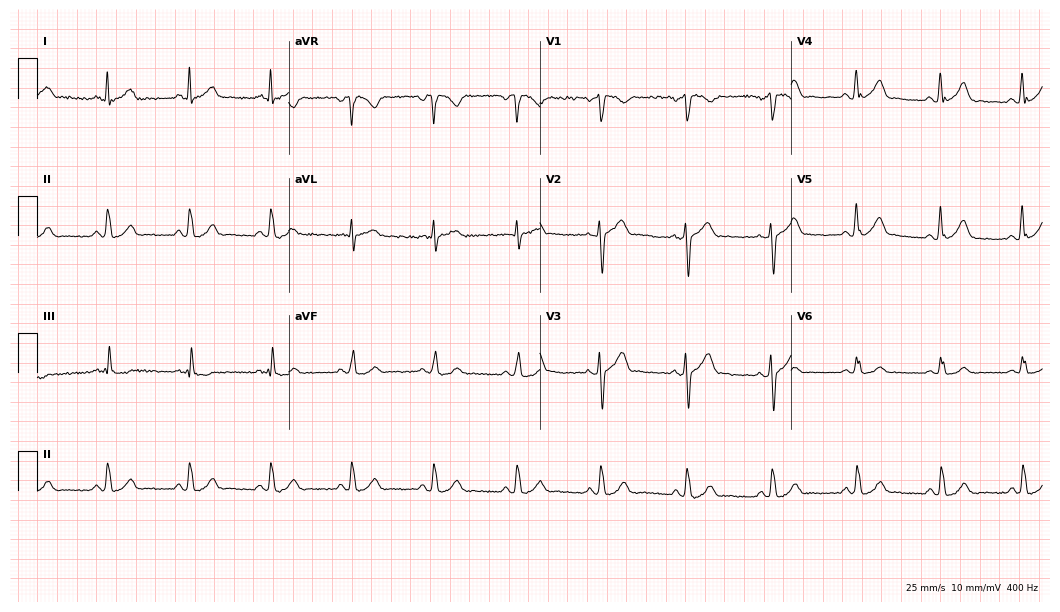
12-lead ECG from a man, 54 years old. Recorded interpretation: within normal limits.